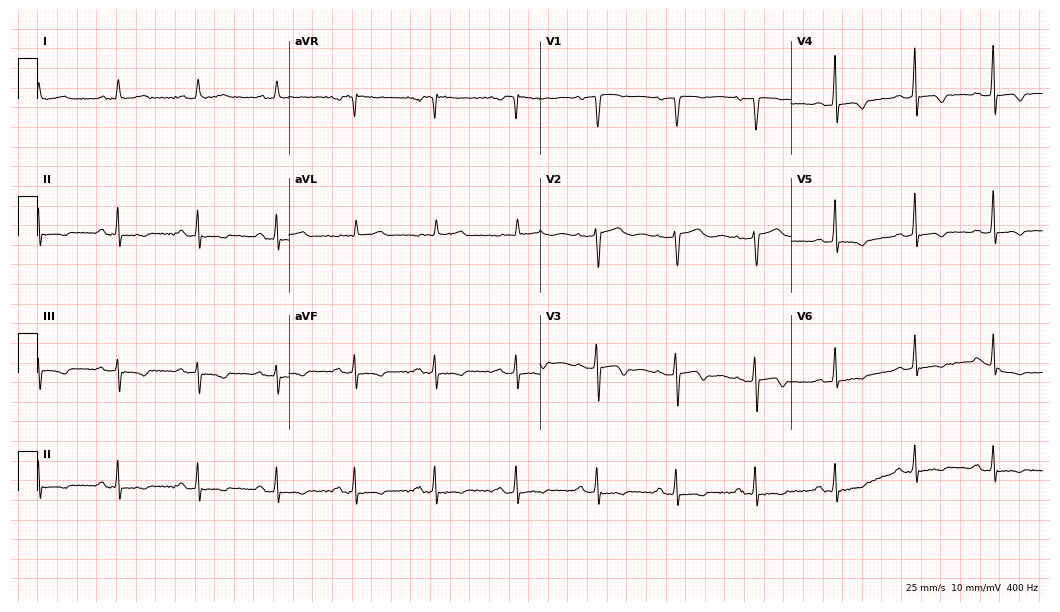
Standard 12-lead ECG recorded from a 73-year-old female patient (10.2-second recording at 400 Hz). None of these six findings is recorded: first-degree AV block, right bundle branch block, left bundle branch block, sinus bradycardia, atrial fibrillation, sinus tachycardia.